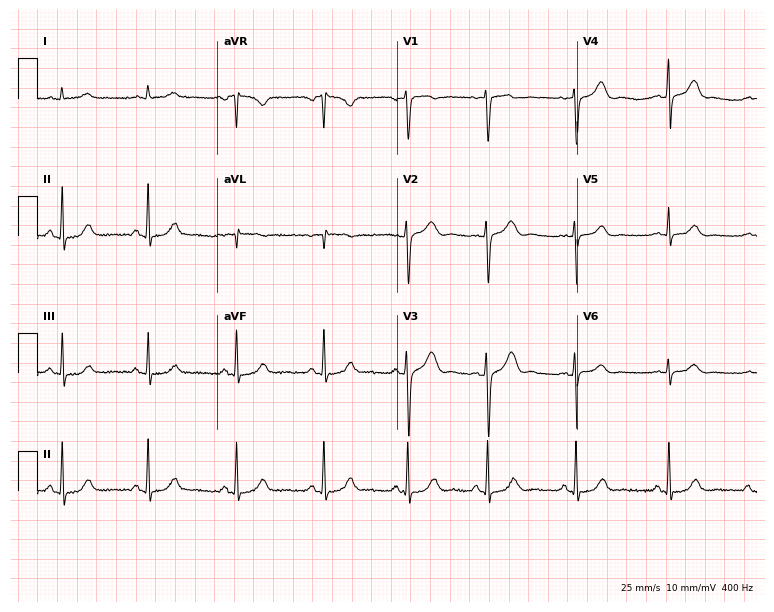
ECG (7.3-second recording at 400 Hz) — a 21-year-old female patient. Labelled as a normal ECG.